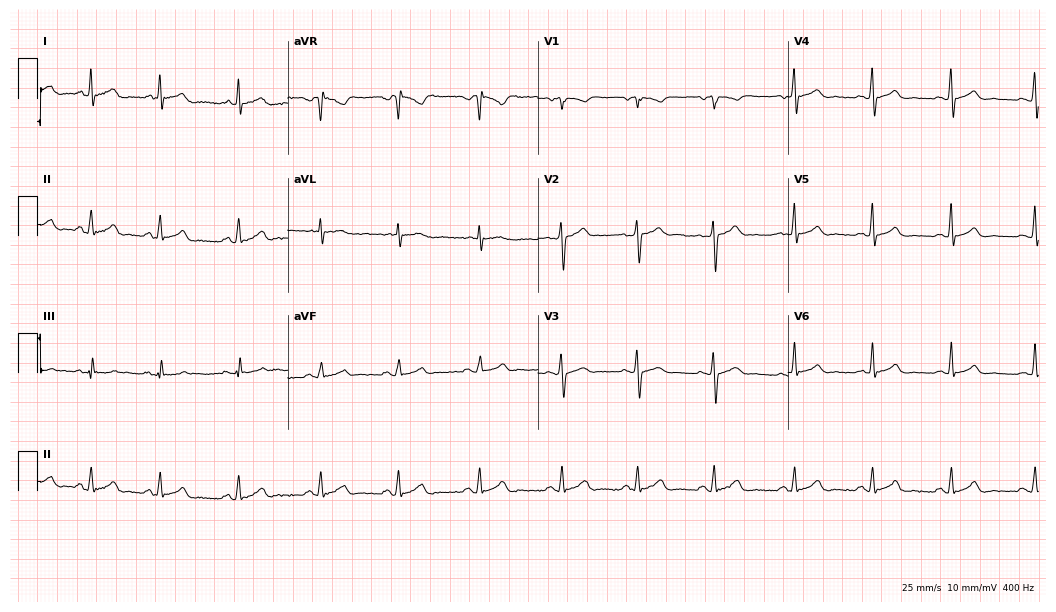
ECG (10.2-second recording at 400 Hz) — a 26-year-old male patient. Labelled as a normal ECG.